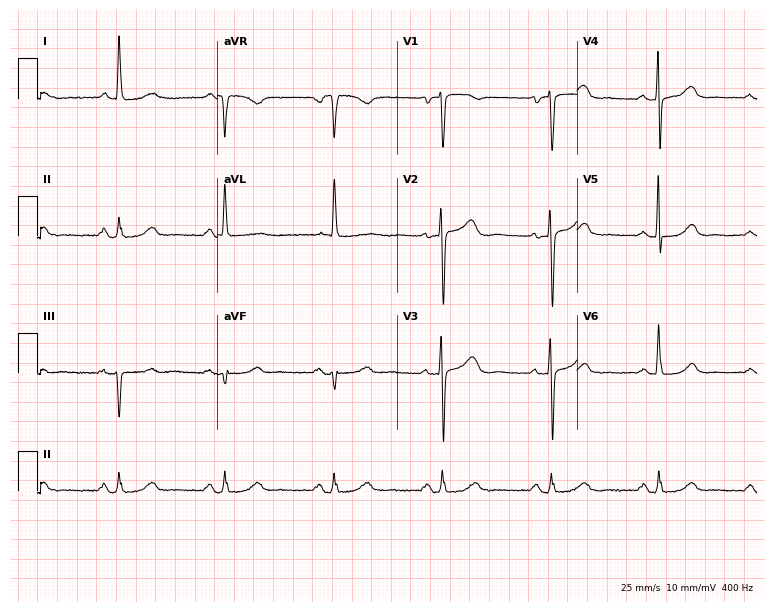
Standard 12-lead ECG recorded from a woman, 80 years old. Read as a normal ECG.